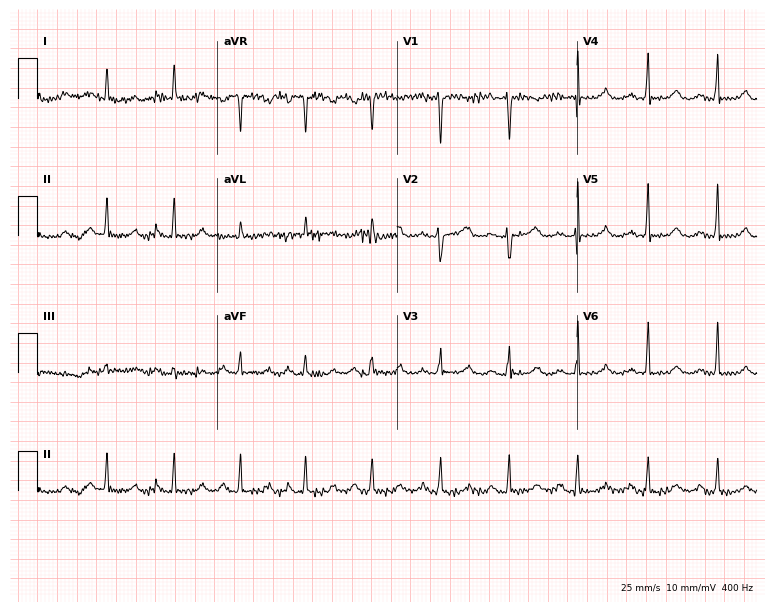
ECG (7.3-second recording at 400 Hz) — a female, 59 years old. Screened for six findings — first-degree AV block, right bundle branch block (RBBB), left bundle branch block (LBBB), sinus bradycardia, atrial fibrillation (AF), sinus tachycardia — none is recorded.